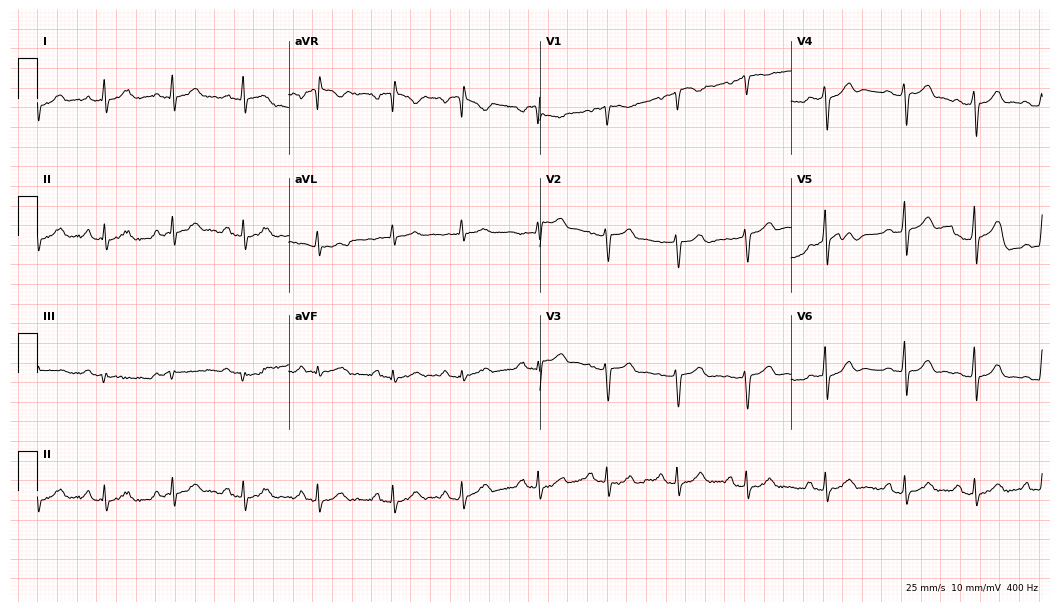
Electrocardiogram, a 28-year-old woman. Of the six screened findings (first-degree AV block, right bundle branch block (RBBB), left bundle branch block (LBBB), sinus bradycardia, atrial fibrillation (AF), sinus tachycardia), none is recorded.